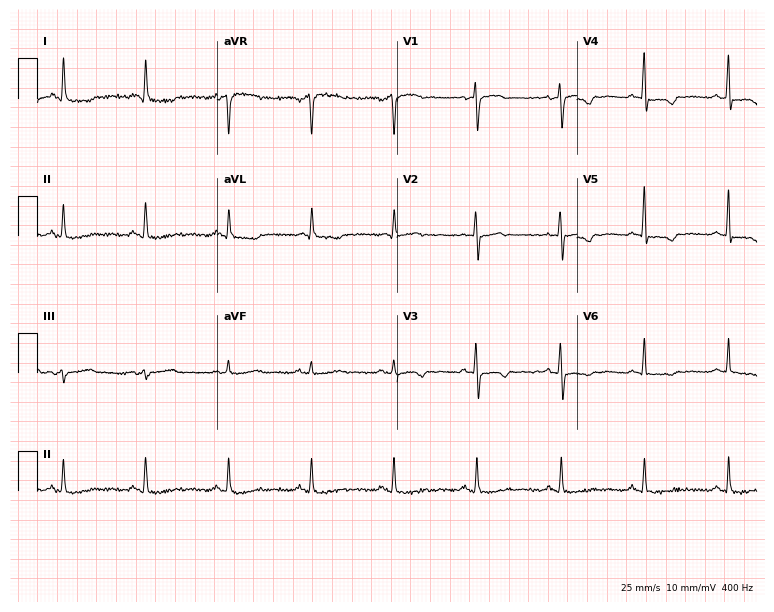
Electrocardiogram (7.3-second recording at 400 Hz), a 66-year-old female. Of the six screened findings (first-degree AV block, right bundle branch block (RBBB), left bundle branch block (LBBB), sinus bradycardia, atrial fibrillation (AF), sinus tachycardia), none is recorded.